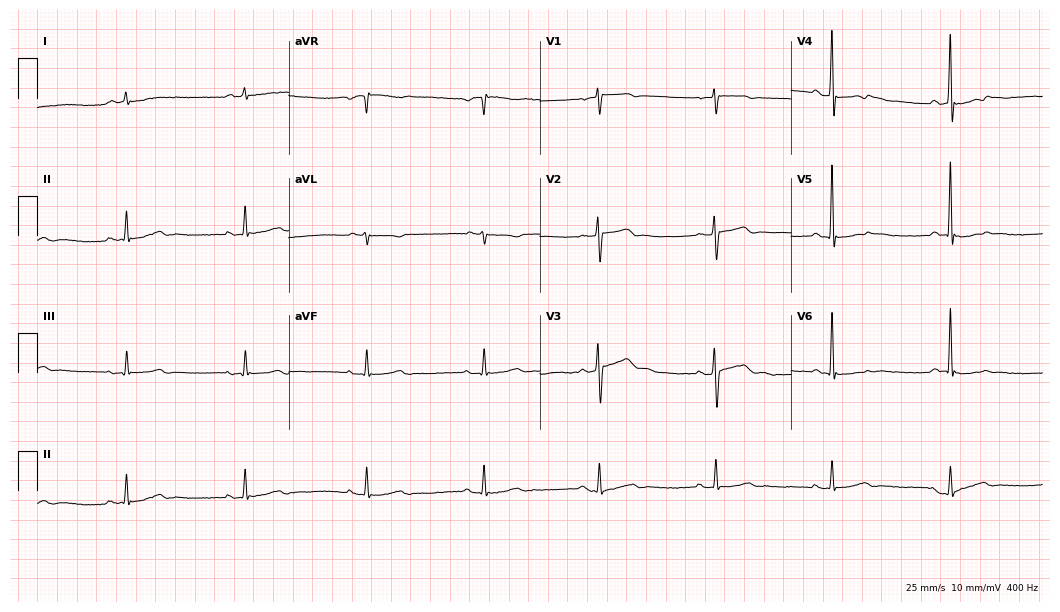
12-lead ECG from a male patient, 45 years old. No first-degree AV block, right bundle branch block, left bundle branch block, sinus bradycardia, atrial fibrillation or sinus tachycardia recorded for this tracing. Only these six findings were labelled.